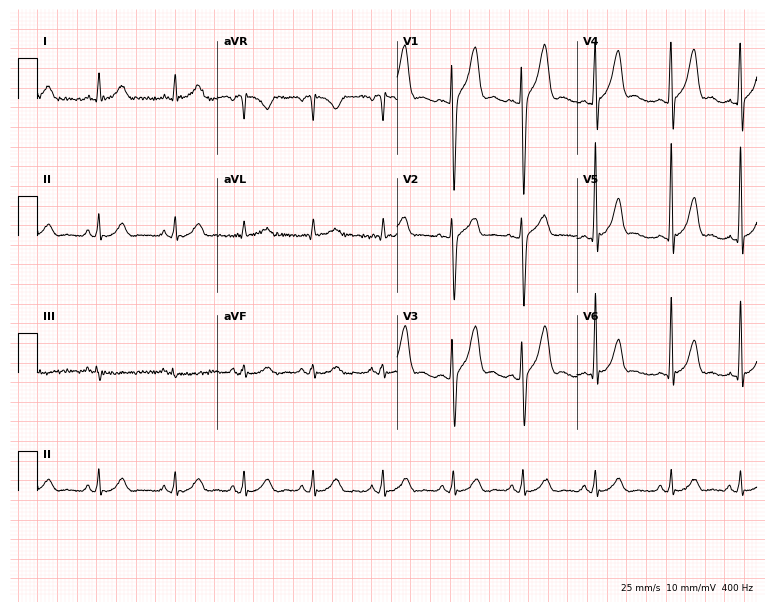
ECG — a 39-year-old man. Screened for six findings — first-degree AV block, right bundle branch block, left bundle branch block, sinus bradycardia, atrial fibrillation, sinus tachycardia — none is recorded. Findings outside these six are not listed.